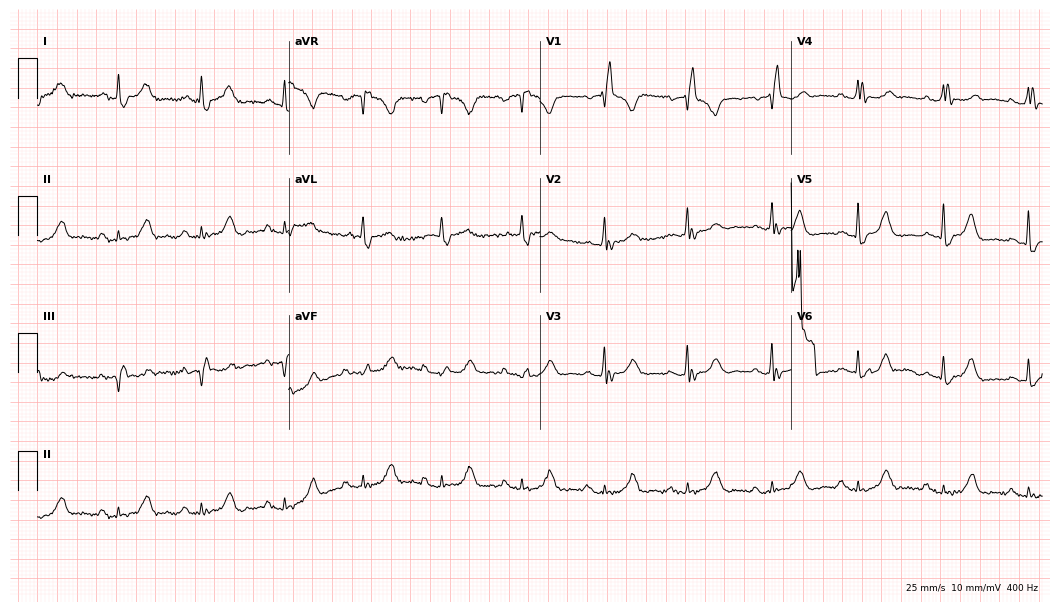
12-lead ECG from a female, 81 years old (10.2-second recording at 400 Hz). Shows right bundle branch block.